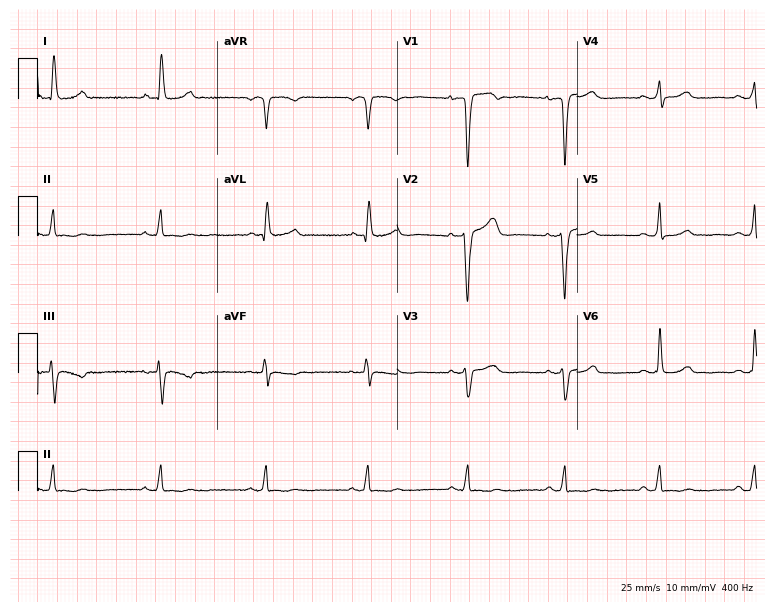
Standard 12-lead ECG recorded from a 53-year-old female patient (7.3-second recording at 400 Hz). None of these six findings is recorded: first-degree AV block, right bundle branch block (RBBB), left bundle branch block (LBBB), sinus bradycardia, atrial fibrillation (AF), sinus tachycardia. Only these six findings were labelled.